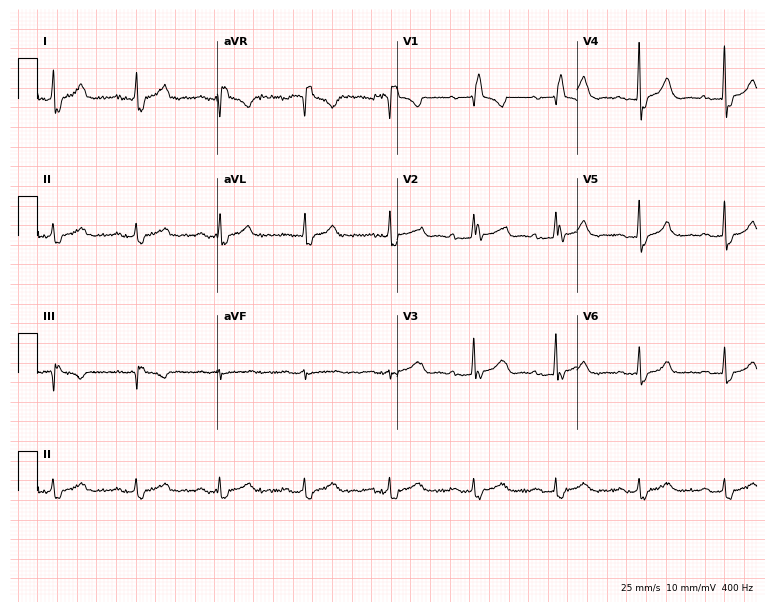
ECG — a 39-year-old woman. Findings include first-degree AV block, right bundle branch block.